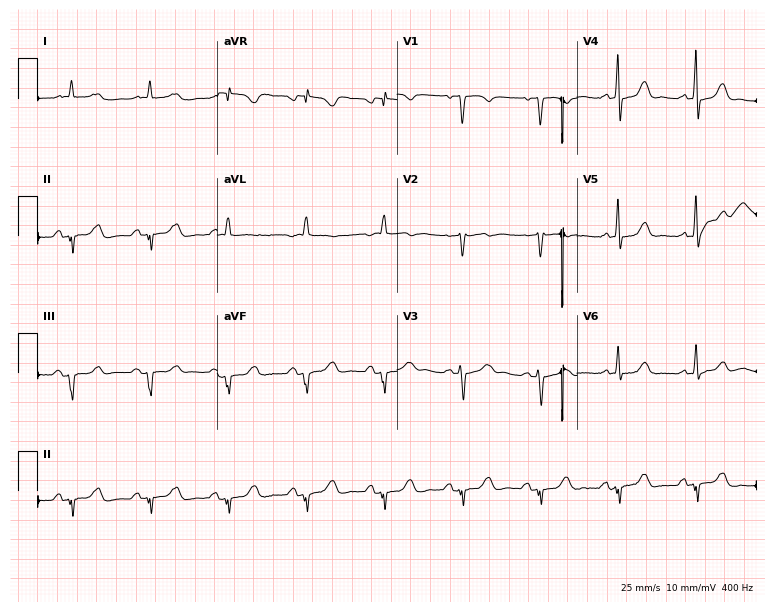
Resting 12-lead electrocardiogram (7.3-second recording at 400 Hz). Patient: a female, 71 years old. None of these six findings is recorded: first-degree AV block, right bundle branch block, left bundle branch block, sinus bradycardia, atrial fibrillation, sinus tachycardia. Other findings, if any, are not listed.